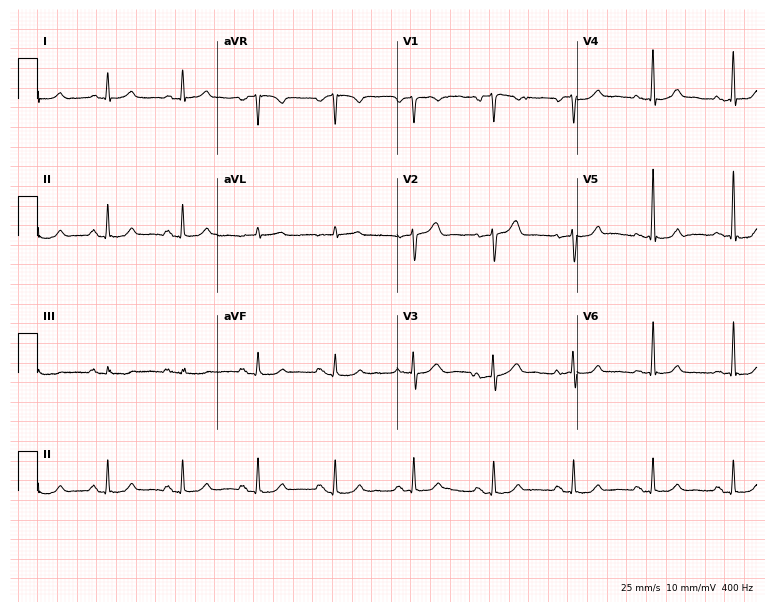
12-lead ECG from a 62-year-old male. Labelled as a normal ECG.